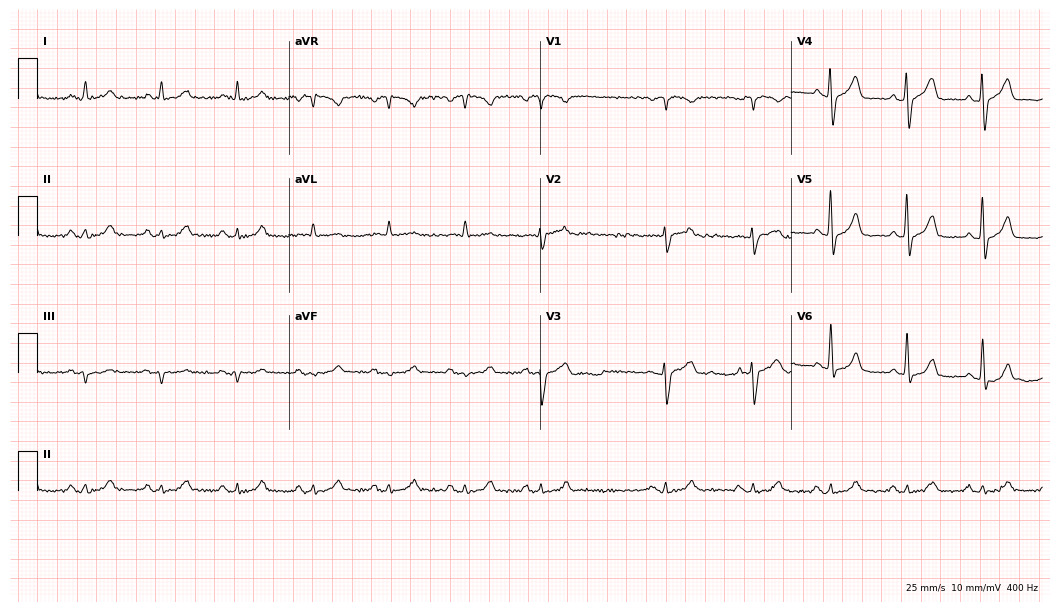
ECG (10.2-second recording at 400 Hz) — an 81-year-old male. Screened for six findings — first-degree AV block, right bundle branch block, left bundle branch block, sinus bradycardia, atrial fibrillation, sinus tachycardia — none is recorded. Other findings, if any, are not listed.